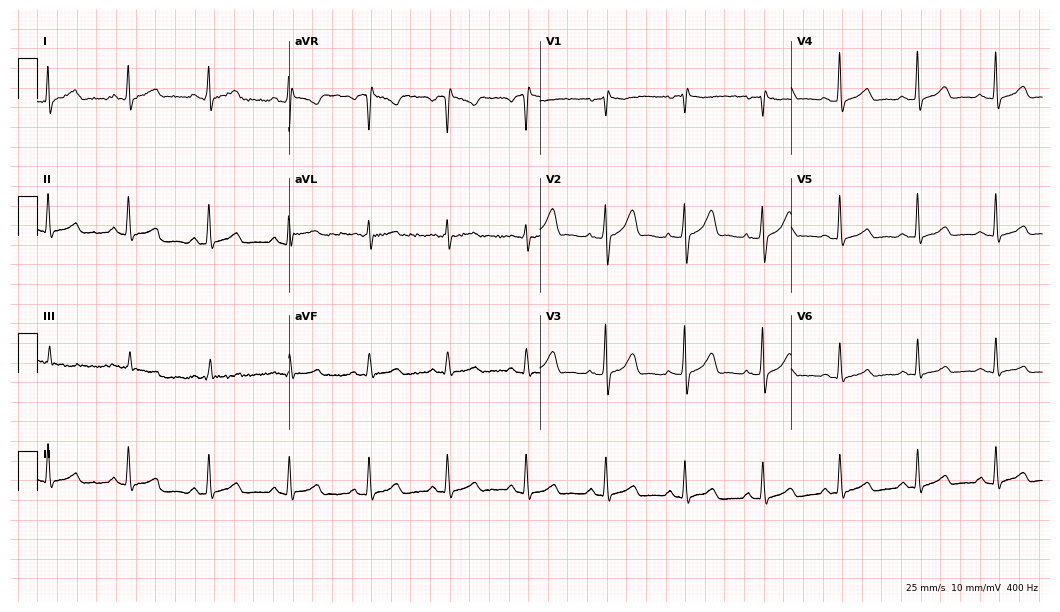
Electrocardiogram (10.2-second recording at 400 Hz), a woman, 55 years old. Of the six screened findings (first-degree AV block, right bundle branch block (RBBB), left bundle branch block (LBBB), sinus bradycardia, atrial fibrillation (AF), sinus tachycardia), none is recorded. Other findings, if any, are not listed.